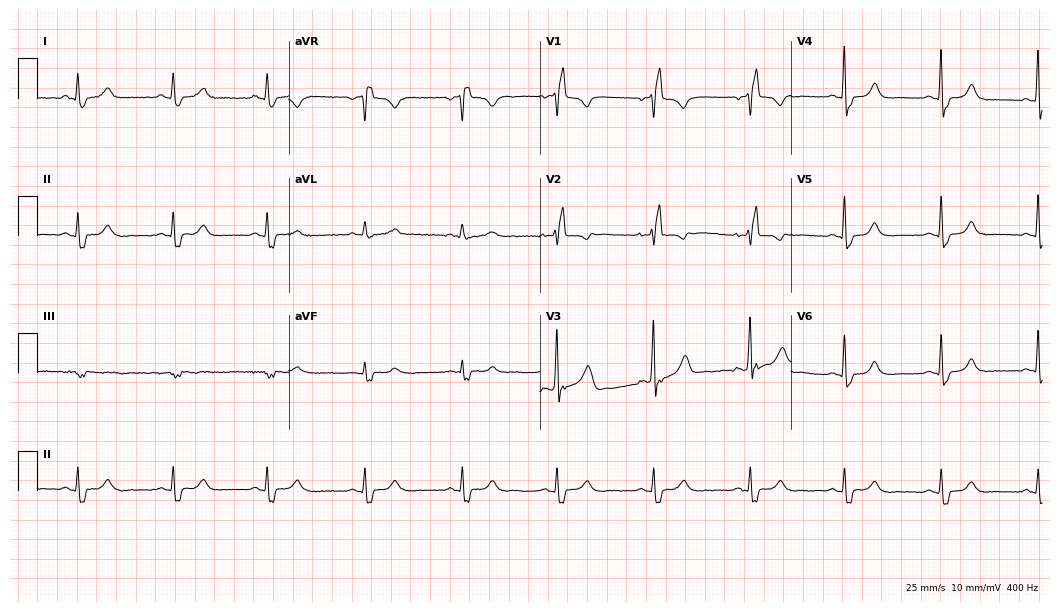
12-lead ECG (10.2-second recording at 400 Hz) from a 51-year-old female patient. Findings include right bundle branch block (RBBB).